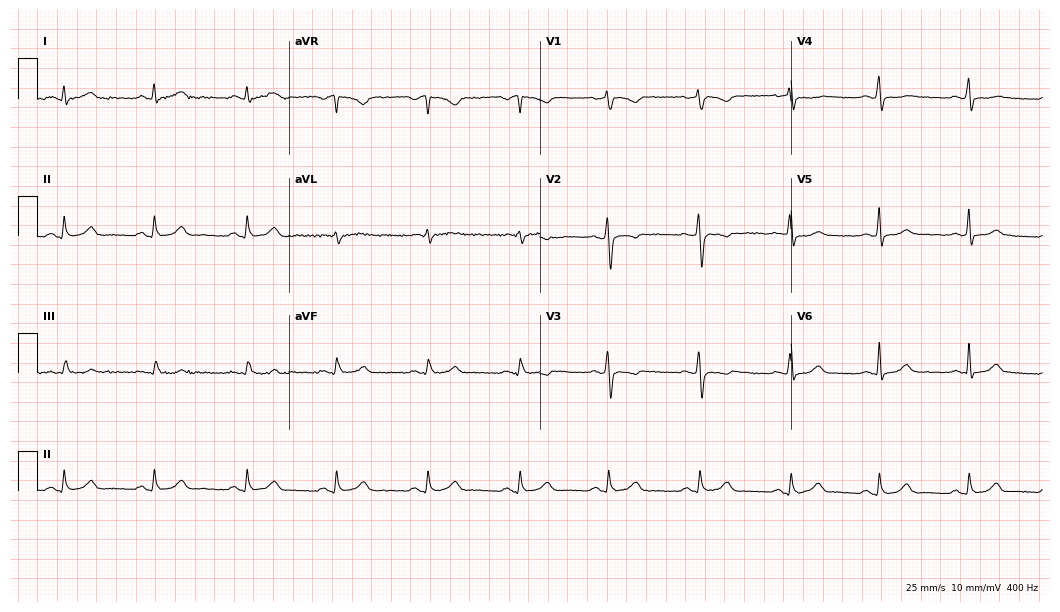
12-lead ECG (10.2-second recording at 400 Hz) from a woman, 33 years old. Screened for six findings — first-degree AV block, right bundle branch block, left bundle branch block, sinus bradycardia, atrial fibrillation, sinus tachycardia — none is recorded. Other findings, if any, are not listed.